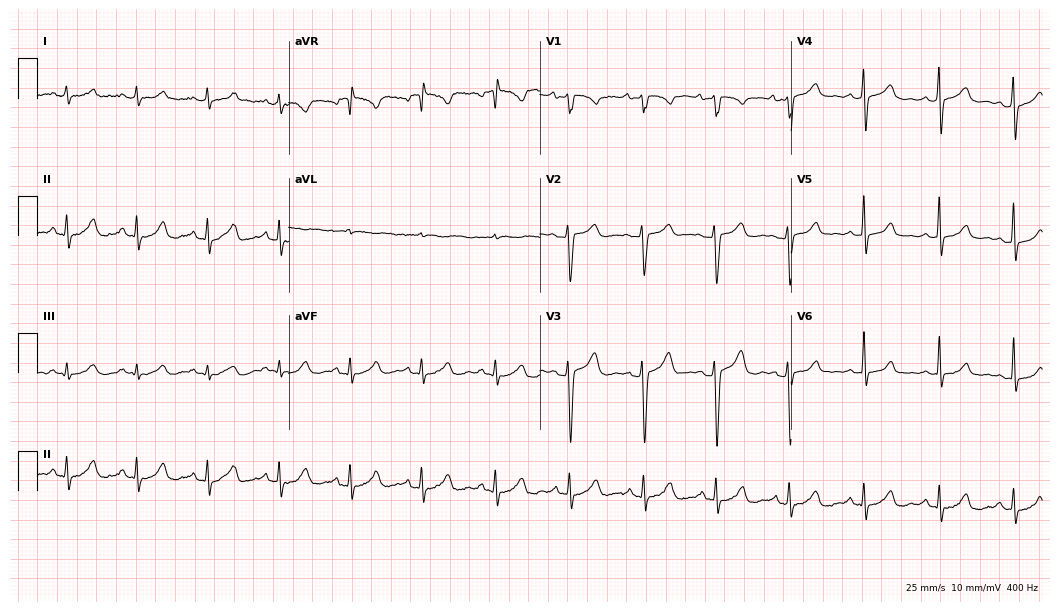
12-lead ECG (10.2-second recording at 400 Hz) from a 26-year-old woman. Labelled as a normal ECG.